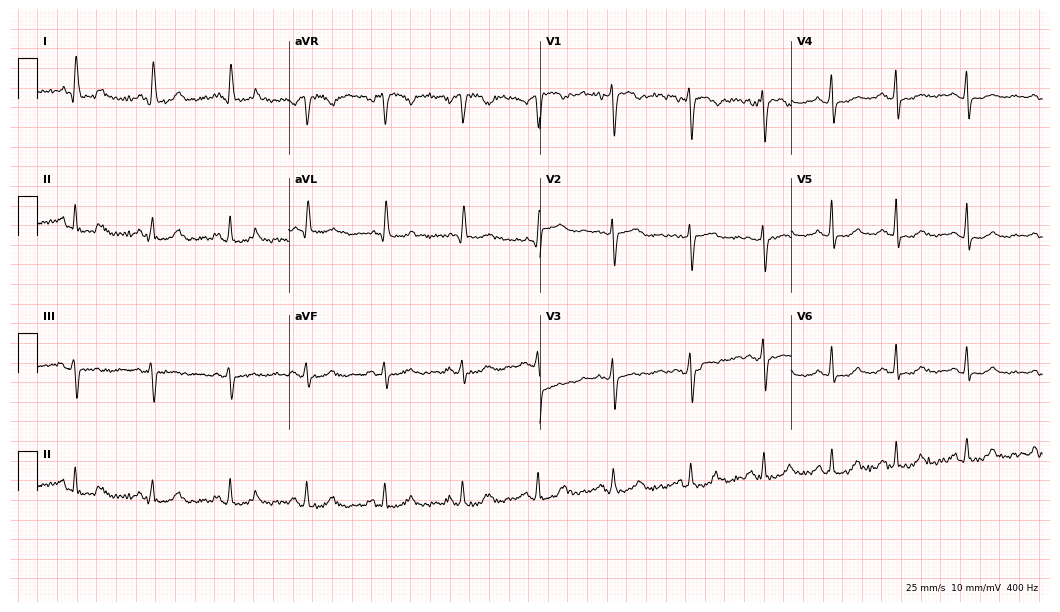
12-lead ECG from a 68-year-old female patient. Screened for six findings — first-degree AV block, right bundle branch block, left bundle branch block, sinus bradycardia, atrial fibrillation, sinus tachycardia — none is recorded. Only these six findings were labelled.